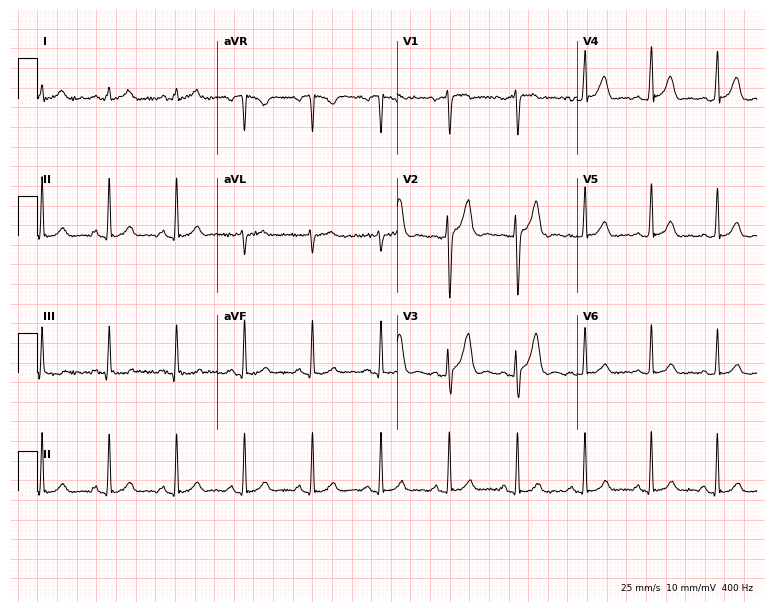
Electrocardiogram, a 32-year-old male patient. Of the six screened findings (first-degree AV block, right bundle branch block, left bundle branch block, sinus bradycardia, atrial fibrillation, sinus tachycardia), none is recorded. Only these six findings were labelled.